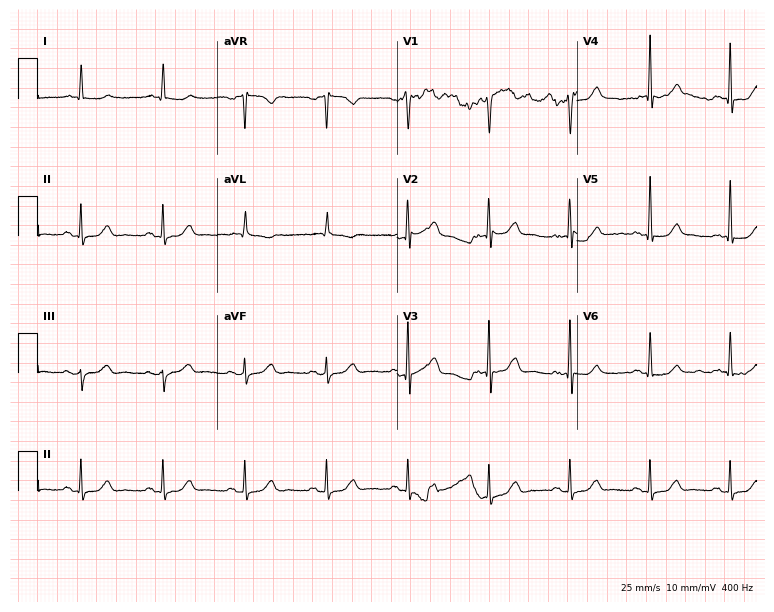
Resting 12-lead electrocardiogram (7.3-second recording at 400 Hz). Patient: a male, 83 years old. Read as a normal ECG.